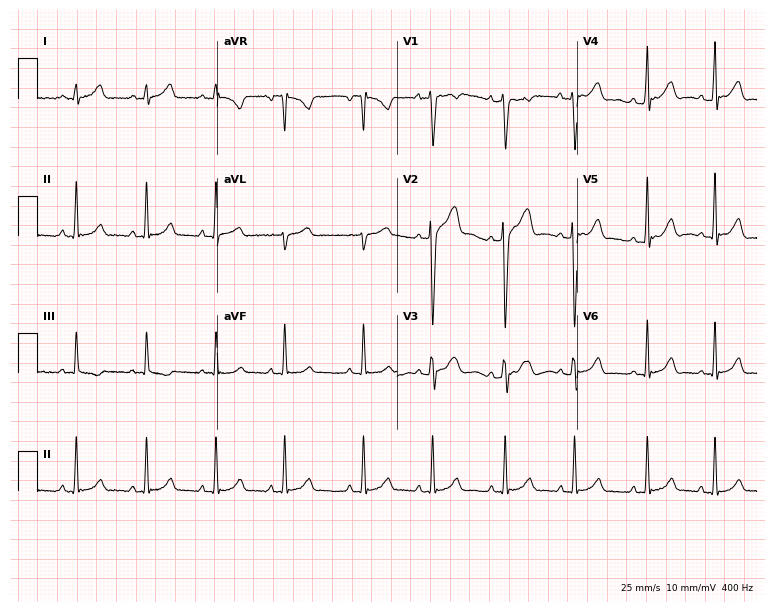
Standard 12-lead ECG recorded from a man, 22 years old (7.3-second recording at 400 Hz). Read as a normal ECG.